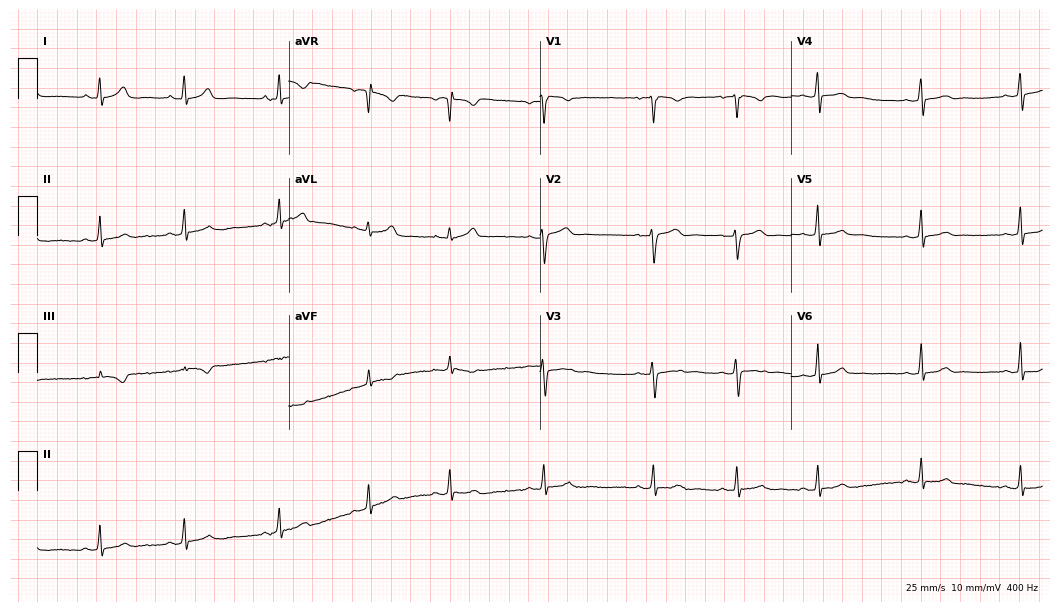
Resting 12-lead electrocardiogram. Patient: a female, 20 years old. Read as a normal ECG.